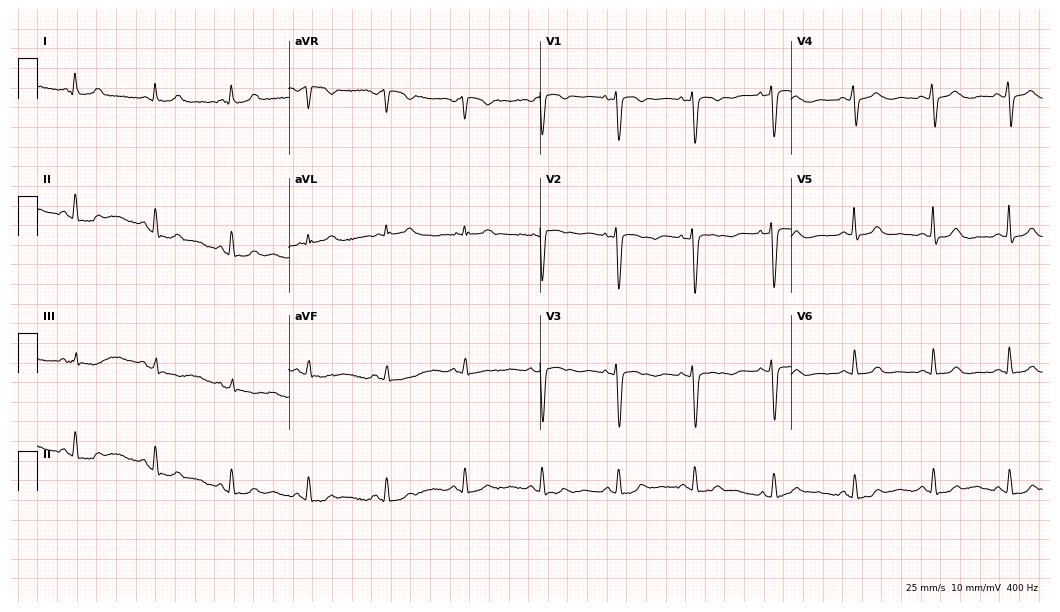
ECG — a 46-year-old woman. Screened for six findings — first-degree AV block, right bundle branch block, left bundle branch block, sinus bradycardia, atrial fibrillation, sinus tachycardia — none is recorded.